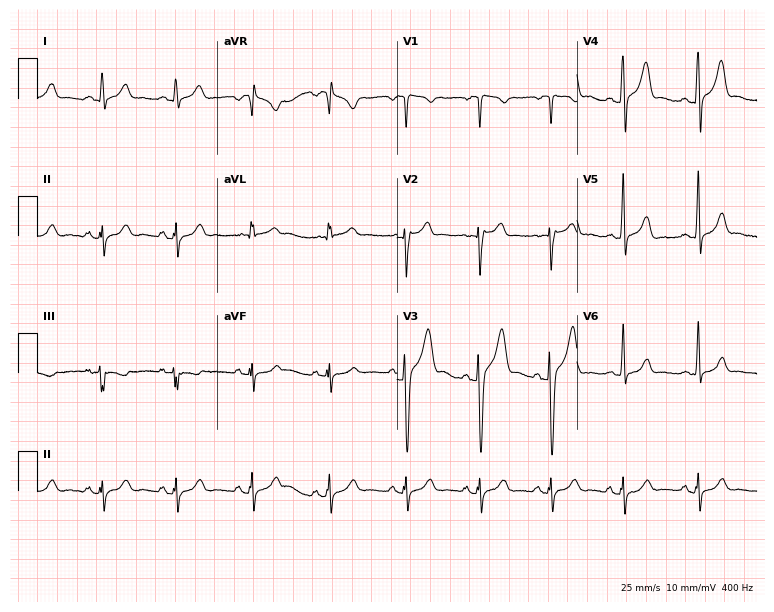
Standard 12-lead ECG recorded from a 31-year-old male patient (7.3-second recording at 400 Hz). None of these six findings is recorded: first-degree AV block, right bundle branch block, left bundle branch block, sinus bradycardia, atrial fibrillation, sinus tachycardia.